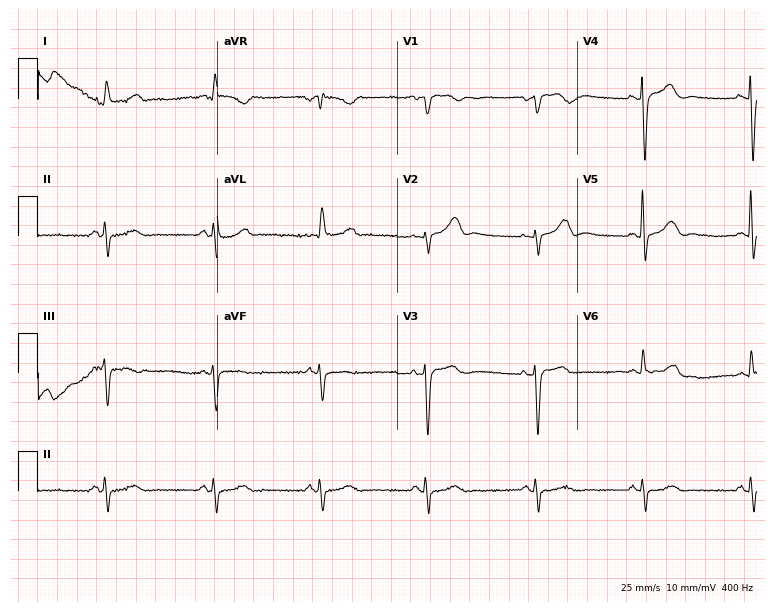
ECG (7.3-second recording at 400 Hz) — an 80-year-old female. Screened for six findings — first-degree AV block, right bundle branch block (RBBB), left bundle branch block (LBBB), sinus bradycardia, atrial fibrillation (AF), sinus tachycardia — none is recorded.